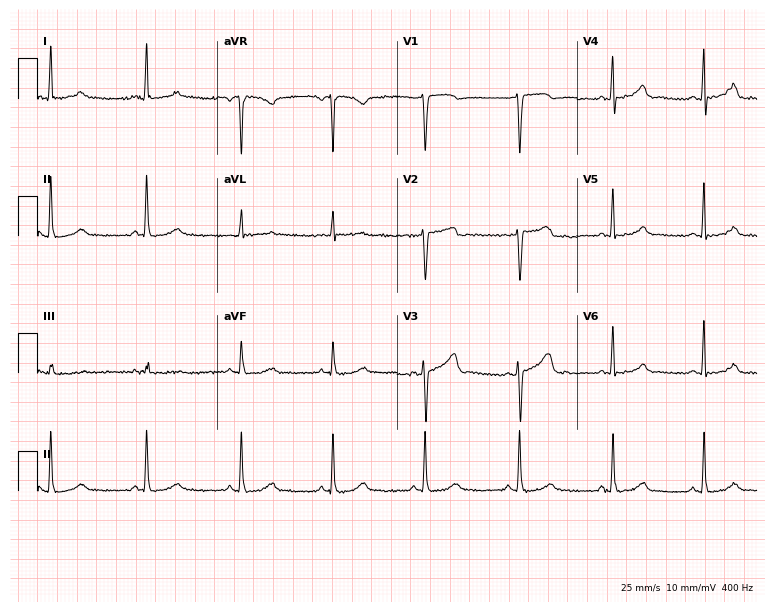
12-lead ECG from a 45-year-old female patient (7.3-second recording at 400 Hz). Recorded interpretation: within normal limits.